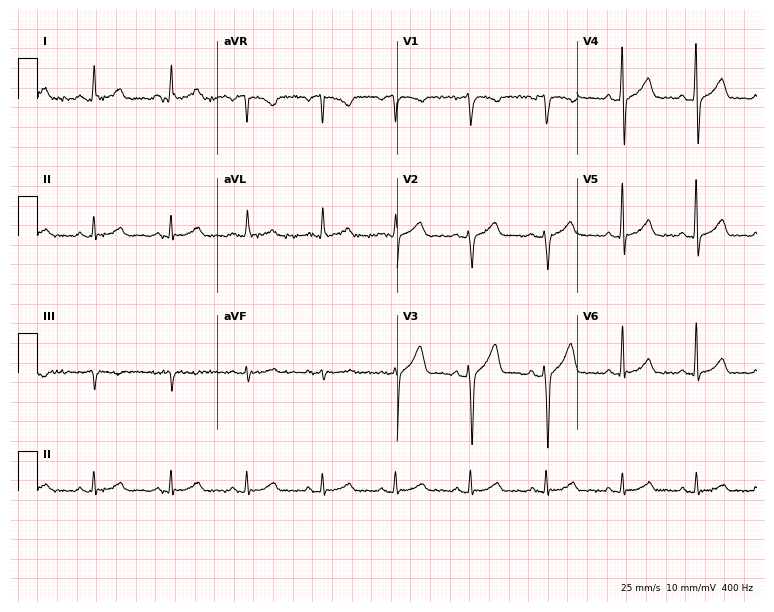
Electrocardiogram, a 63-year-old man. Overall reading on record: normal ECG.